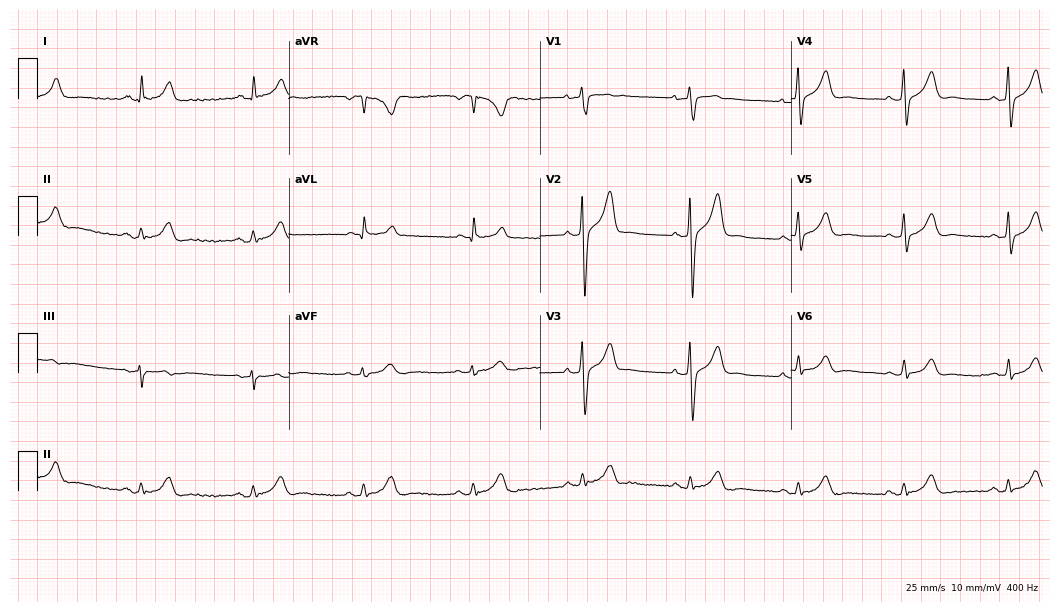
Electrocardiogram (10.2-second recording at 400 Hz), a male, 51 years old. Of the six screened findings (first-degree AV block, right bundle branch block, left bundle branch block, sinus bradycardia, atrial fibrillation, sinus tachycardia), none is recorded.